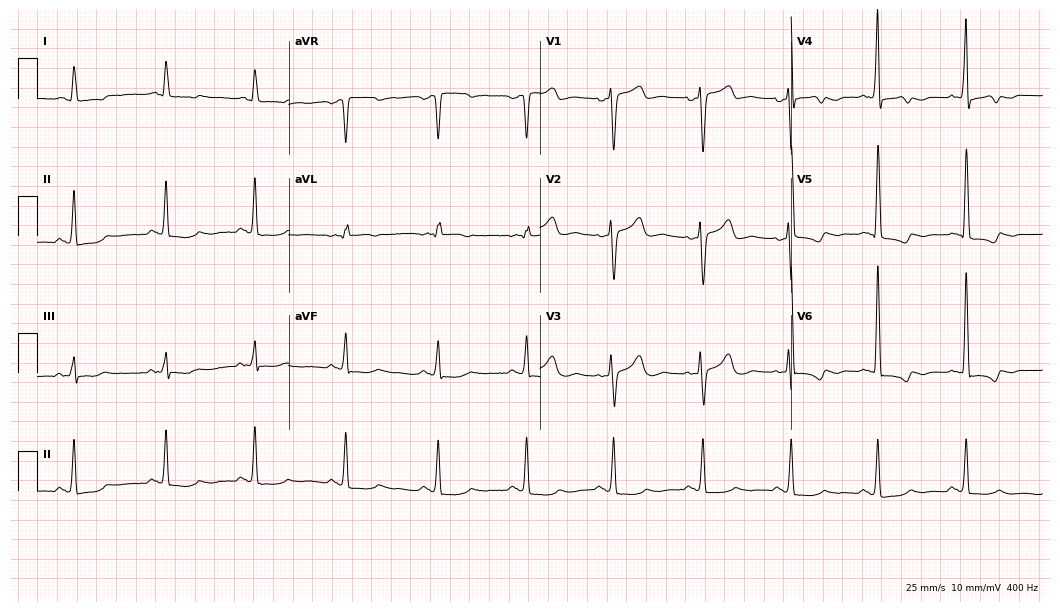
ECG — a woman, 70 years old. Labelled as a normal ECG.